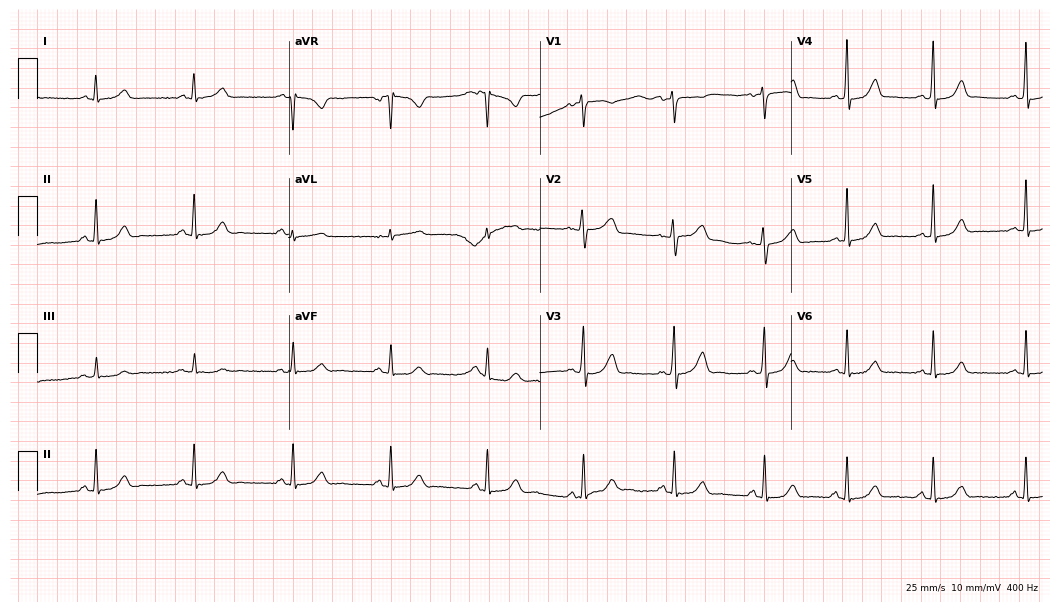
12-lead ECG from a woman, 42 years old. Recorded interpretation: within normal limits.